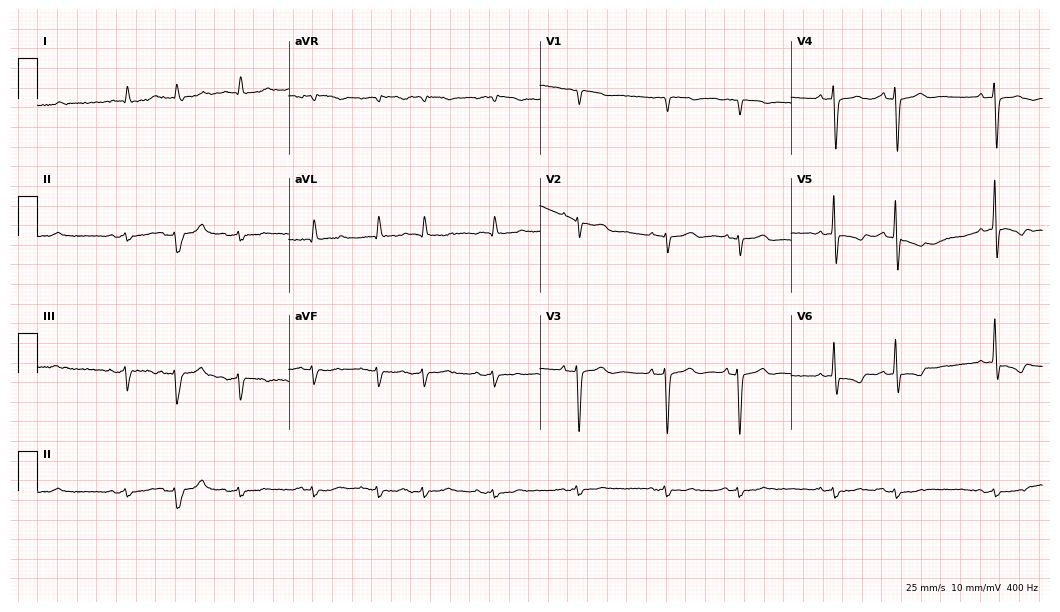
Electrocardiogram, a 76-year-old female. Of the six screened findings (first-degree AV block, right bundle branch block, left bundle branch block, sinus bradycardia, atrial fibrillation, sinus tachycardia), none is recorded. Only these six findings were labelled.